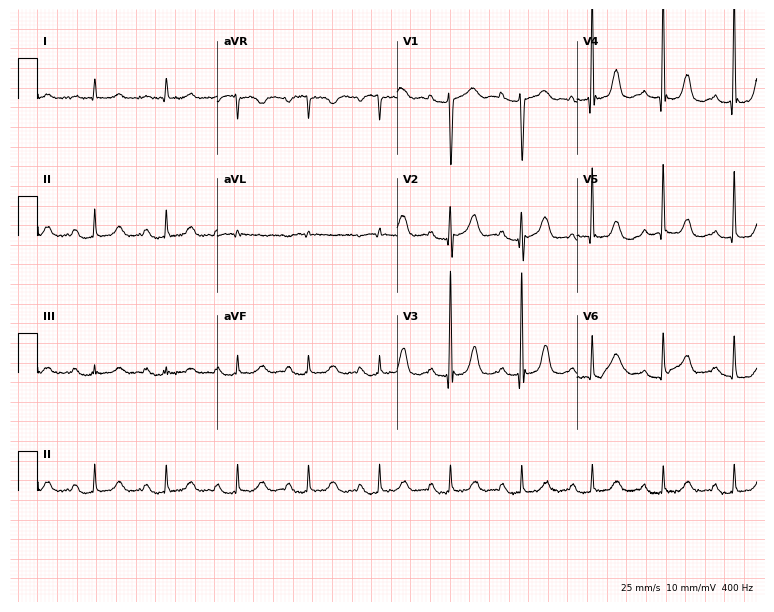
Resting 12-lead electrocardiogram (7.3-second recording at 400 Hz). Patient: a woman, 75 years old. None of these six findings is recorded: first-degree AV block, right bundle branch block, left bundle branch block, sinus bradycardia, atrial fibrillation, sinus tachycardia.